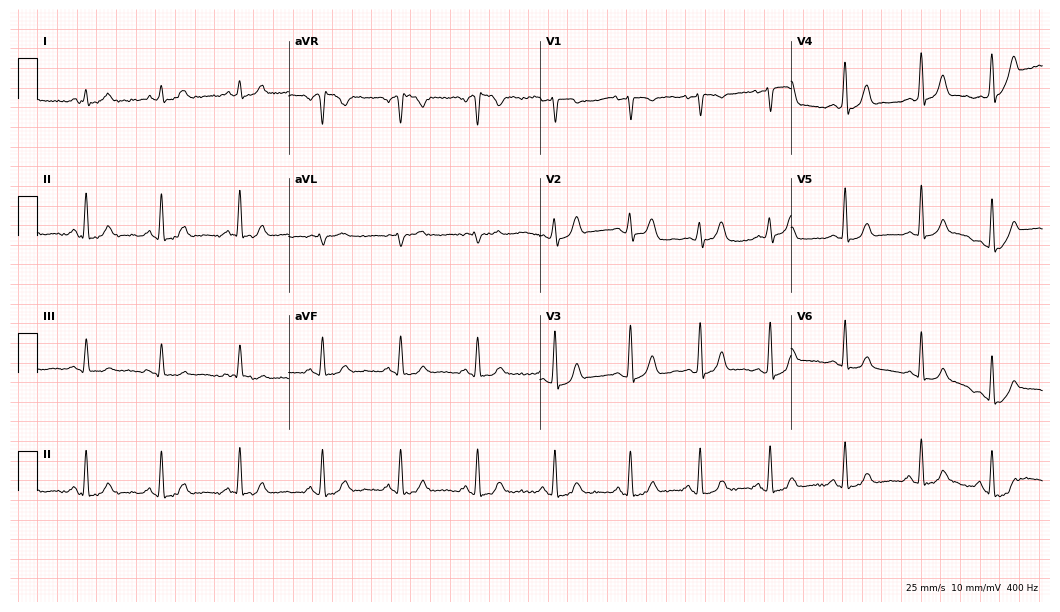
Resting 12-lead electrocardiogram (10.2-second recording at 400 Hz). Patient: a female, 30 years old. None of these six findings is recorded: first-degree AV block, right bundle branch block (RBBB), left bundle branch block (LBBB), sinus bradycardia, atrial fibrillation (AF), sinus tachycardia. Only these six findings were labelled.